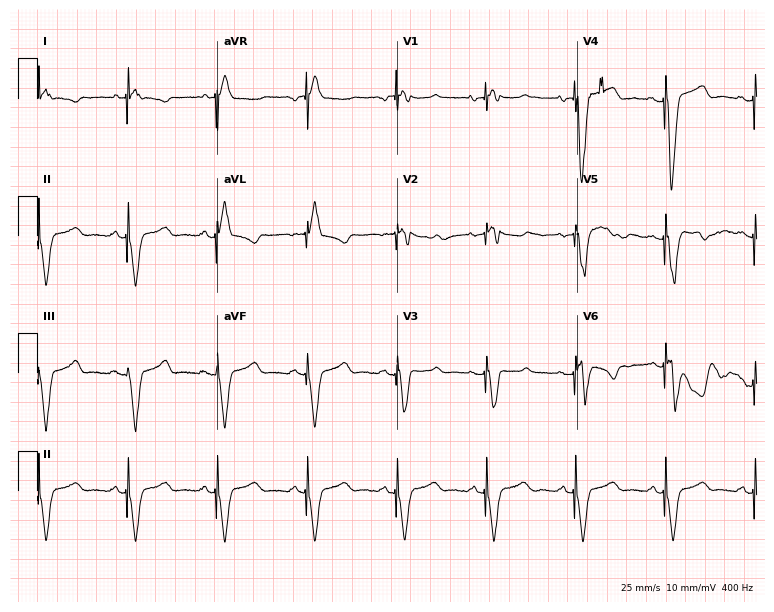
Electrocardiogram, a 57-year-old male. Of the six screened findings (first-degree AV block, right bundle branch block (RBBB), left bundle branch block (LBBB), sinus bradycardia, atrial fibrillation (AF), sinus tachycardia), none is recorded. Findings outside these six are not listed.